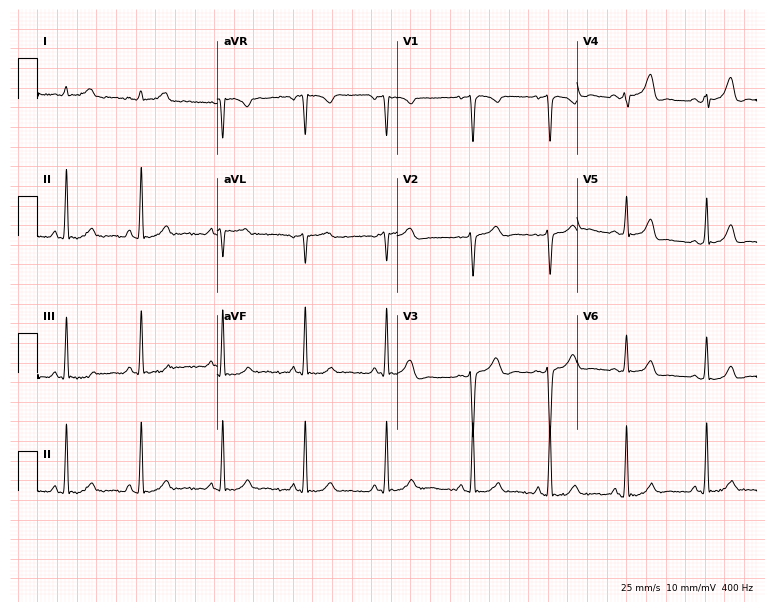
12-lead ECG (7.3-second recording at 400 Hz) from a 21-year-old female patient. Screened for six findings — first-degree AV block, right bundle branch block (RBBB), left bundle branch block (LBBB), sinus bradycardia, atrial fibrillation (AF), sinus tachycardia — none is recorded.